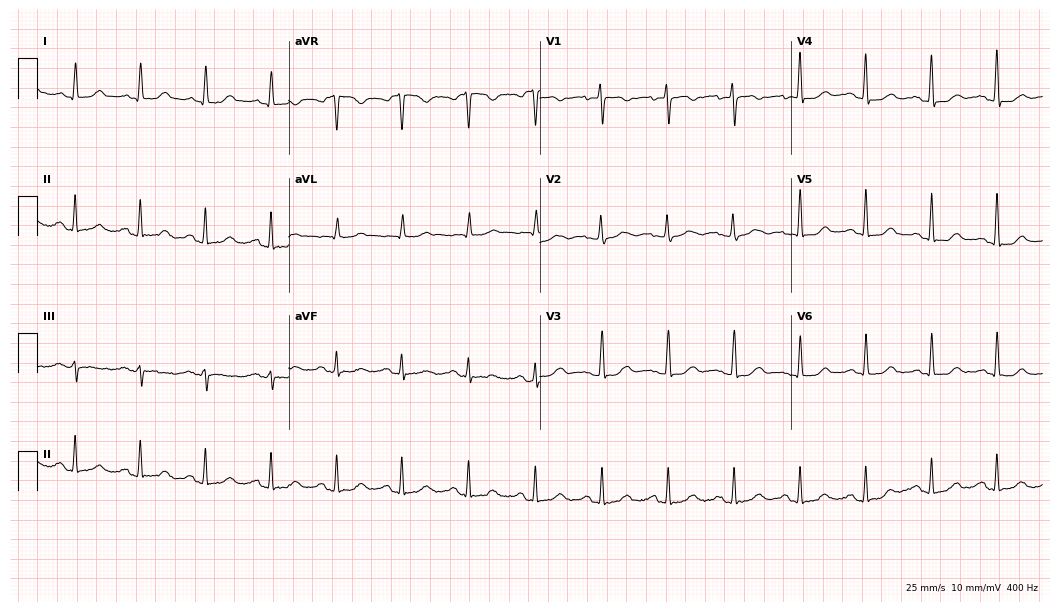
Electrocardiogram, a female patient, 54 years old. Overall reading on record: normal ECG.